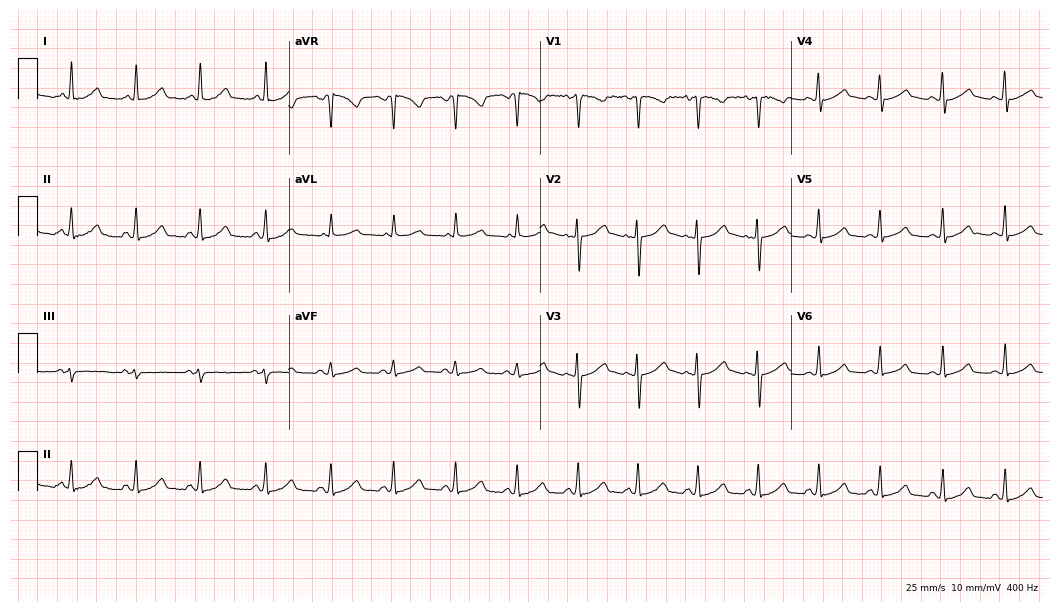
12-lead ECG from a female patient, 19 years old (10.2-second recording at 400 Hz). Recorded interpretation: within normal limits.